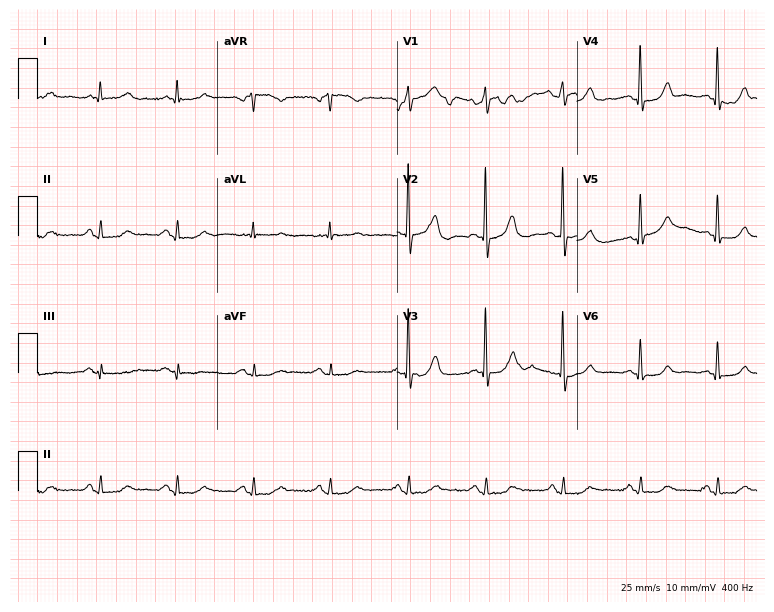
12-lead ECG from a 78-year-old male. Labelled as a normal ECG.